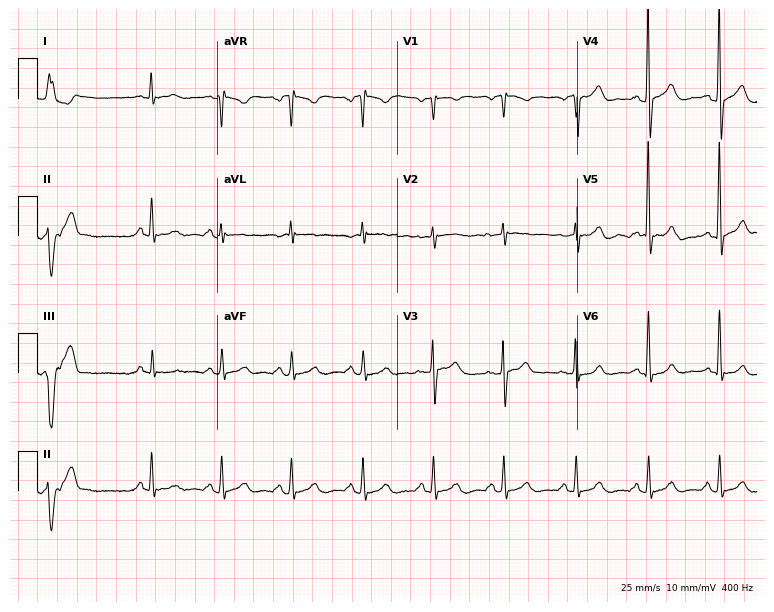
12-lead ECG from a man, 76 years old. Screened for six findings — first-degree AV block, right bundle branch block (RBBB), left bundle branch block (LBBB), sinus bradycardia, atrial fibrillation (AF), sinus tachycardia — none is recorded.